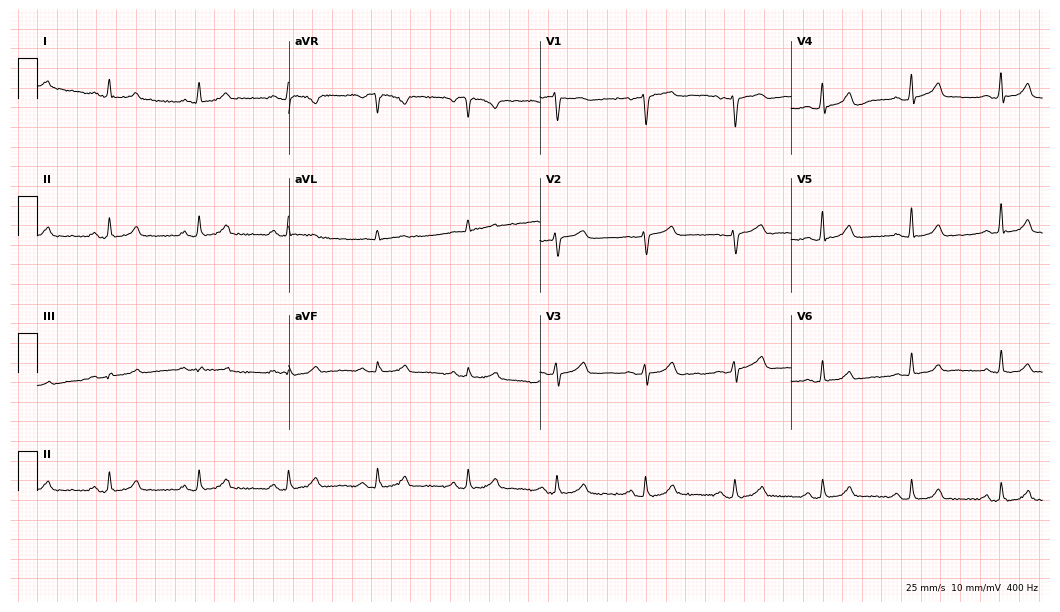
12-lead ECG from a man, 57 years old. Labelled as a normal ECG.